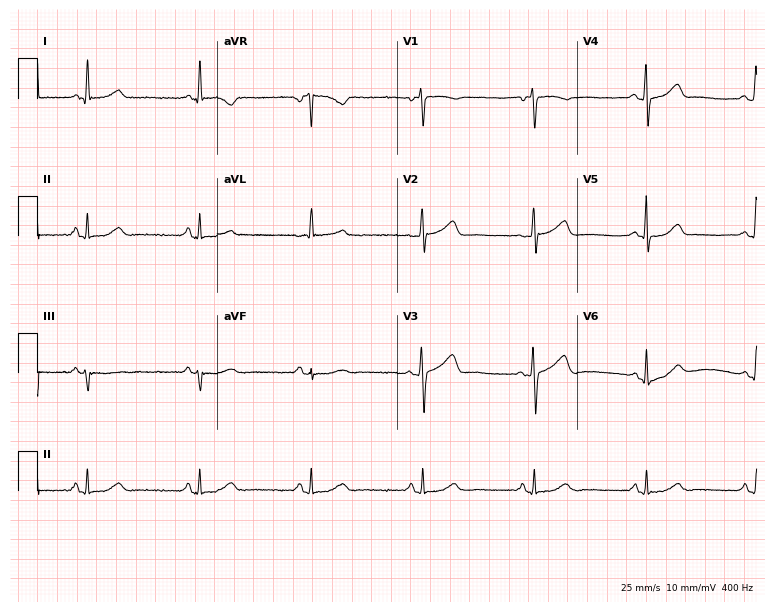
12-lead ECG from a female, 44 years old (7.3-second recording at 400 Hz). Recorded interpretation: within normal limits.